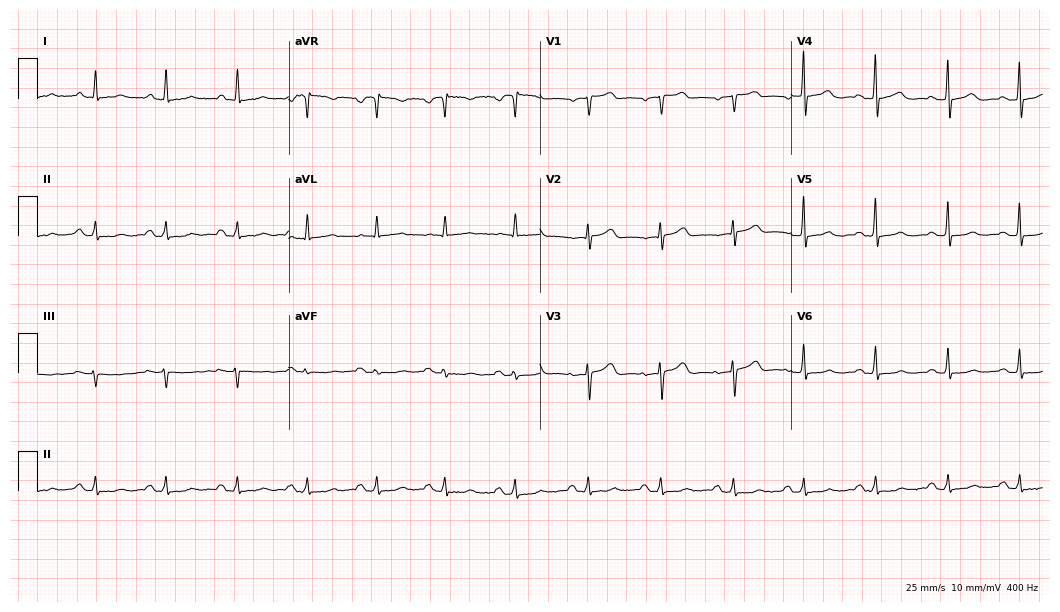
12-lead ECG from a female patient, 58 years old (10.2-second recording at 400 Hz). Recorded interpretation: within normal limits.